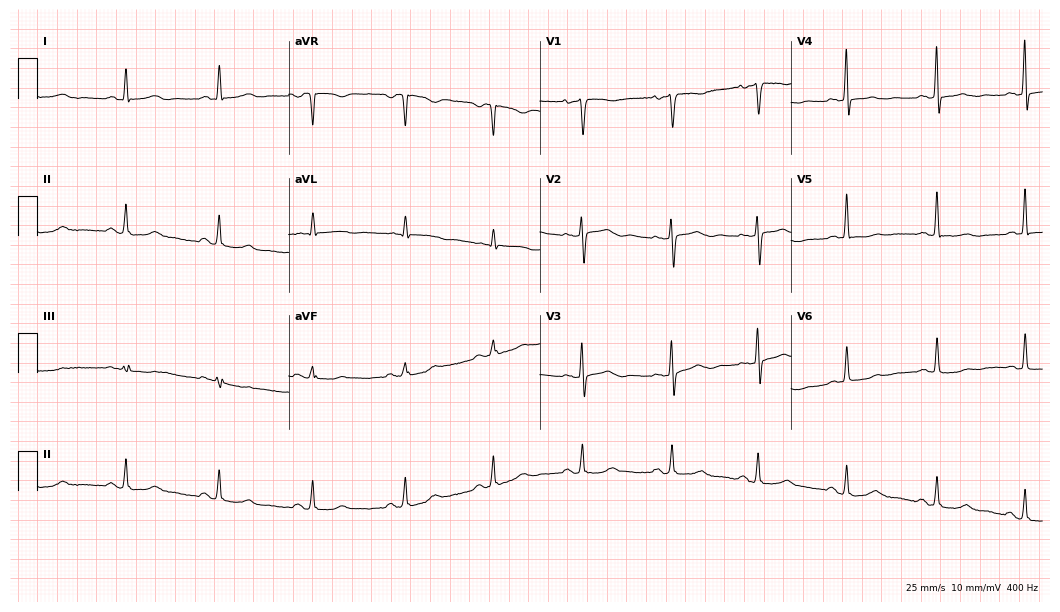
ECG — a woman, 64 years old. Screened for six findings — first-degree AV block, right bundle branch block (RBBB), left bundle branch block (LBBB), sinus bradycardia, atrial fibrillation (AF), sinus tachycardia — none is recorded.